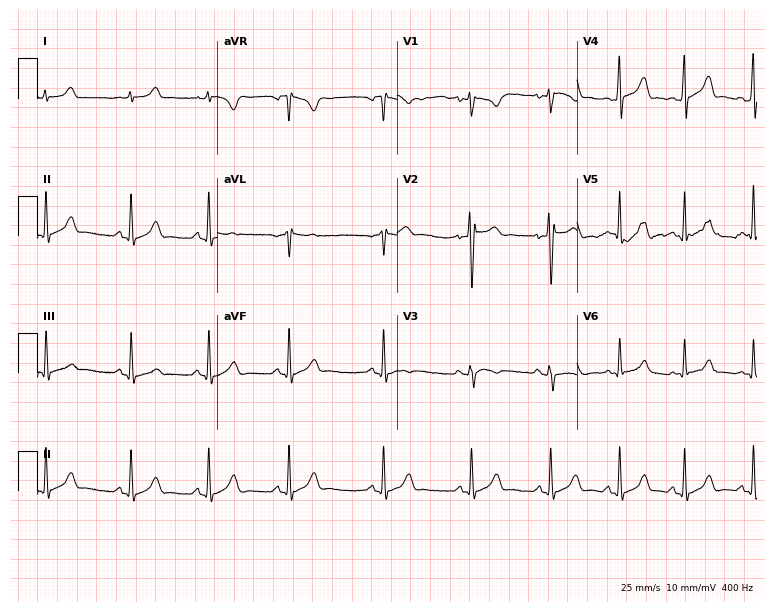
12-lead ECG from a male patient, 22 years old. Recorded interpretation: within normal limits.